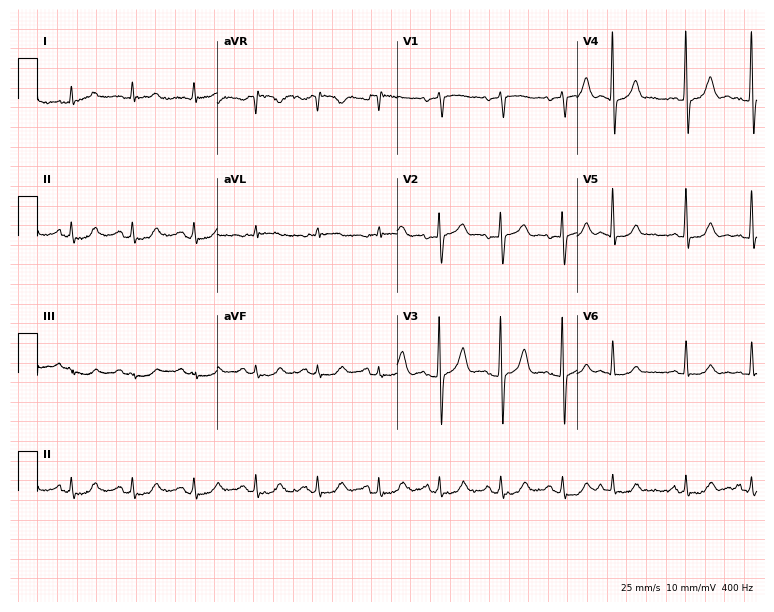
12-lead ECG (7.3-second recording at 400 Hz) from a male patient, 71 years old. Screened for six findings — first-degree AV block, right bundle branch block, left bundle branch block, sinus bradycardia, atrial fibrillation, sinus tachycardia — none is recorded.